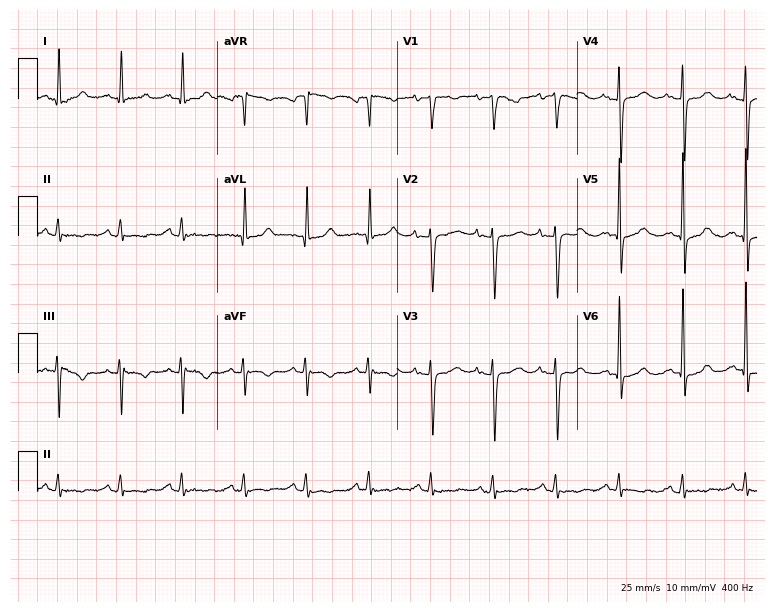
12-lead ECG from a 63-year-old female patient. No first-degree AV block, right bundle branch block, left bundle branch block, sinus bradycardia, atrial fibrillation or sinus tachycardia recorded for this tracing. Only these six findings were labelled.